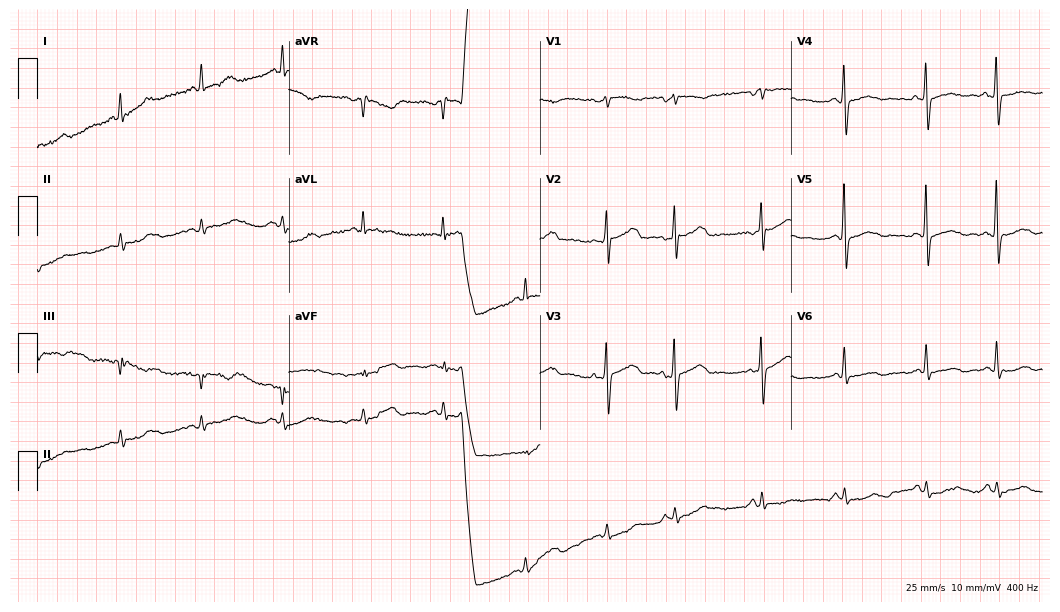
Electrocardiogram (10.2-second recording at 400 Hz), a 67-year-old woman. Of the six screened findings (first-degree AV block, right bundle branch block, left bundle branch block, sinus bradycardia, atrial fibrillation, sinus tachycardia), none is recorded. Other findings, if any, are not listed.